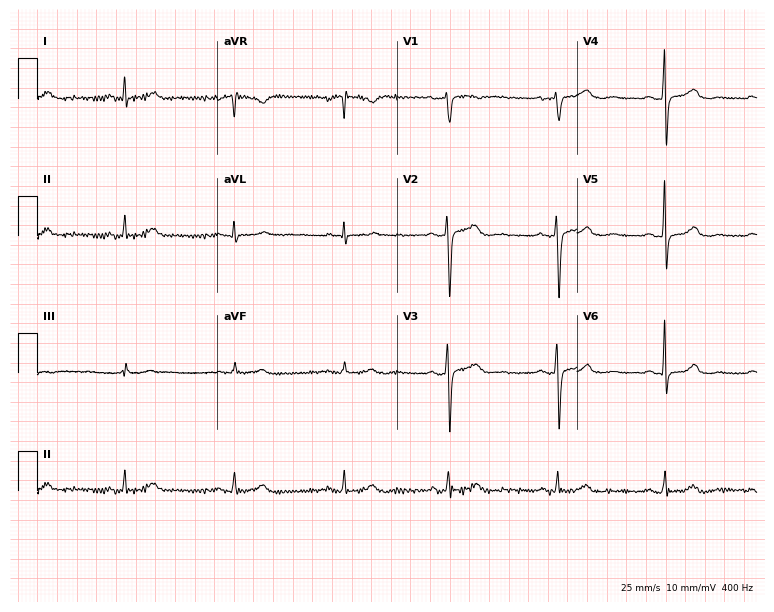
12-lead ECG (7.3-second recording at 400 Hz) from a female, 41 years old. Labelled as a normal ECG.